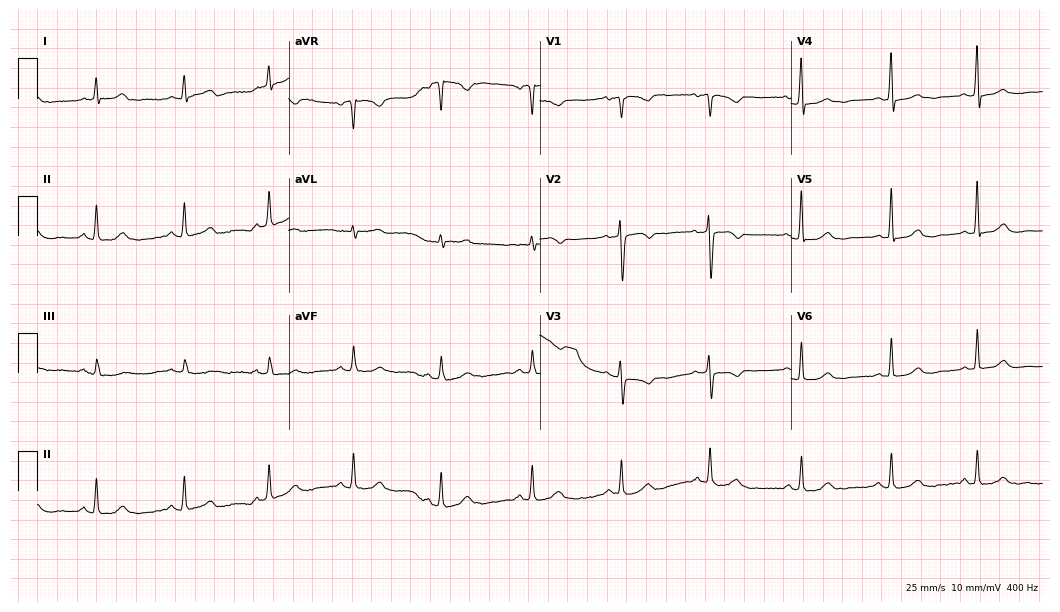
Resting 12-lead electrocardiogram. Patient: a woman, 66 years old. Read as a normal ECG.